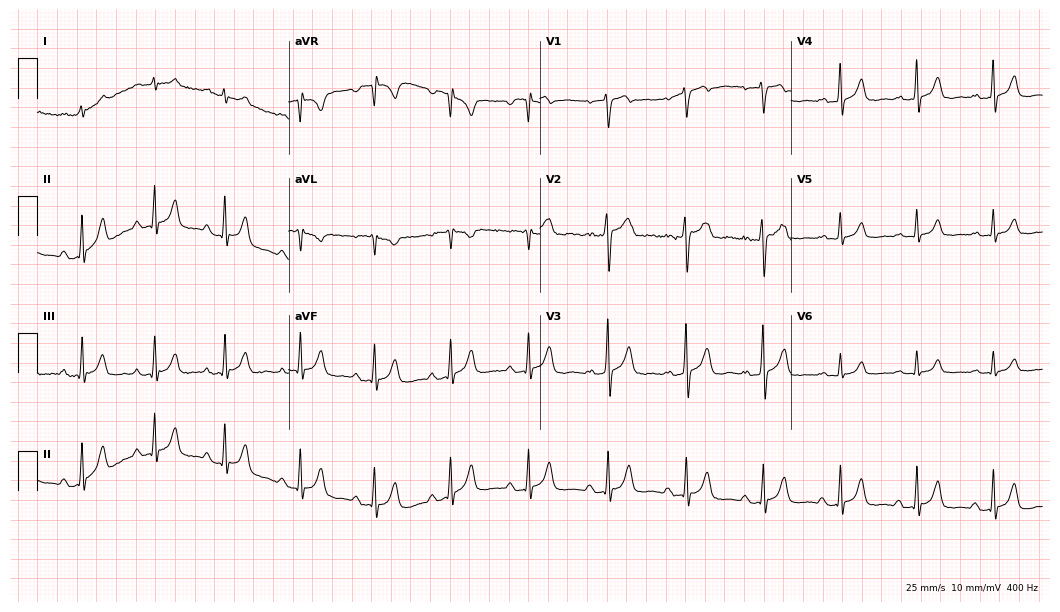
Electrocardiogram (10.2-second recording at 400 Hz), a man, 32 years old. Of the six screened findings (first-degree AV block, right bundle branch block, left bundle branch block, sinus bradycardia, atrial fibrillation, sinus tachycardia), none is recorded.